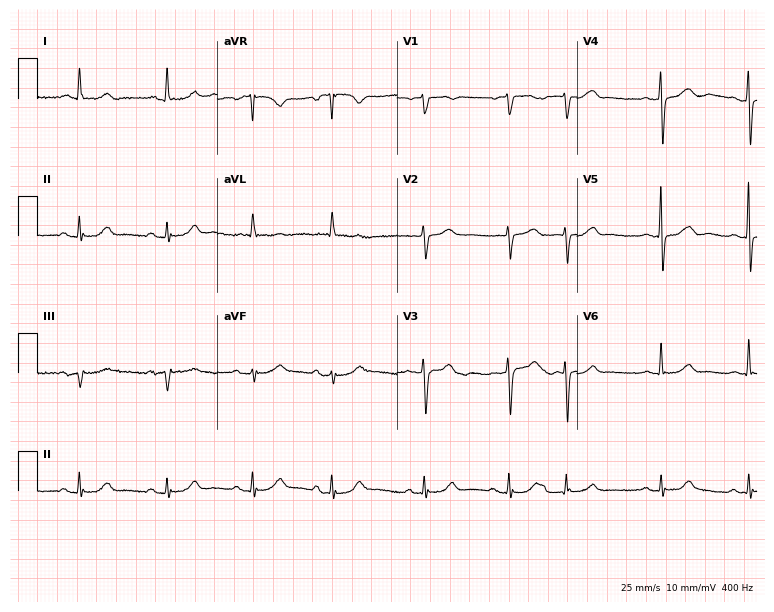
Resting 12-lead electrocardiogram (7.3-second recording at 400 Hz). Patient: a female, 85 years old. None of these six findings is recorded: first-degree AV block, right bundle branch block, left bundle branch block, sinus bradycardia, atrial fibrillation, sinus tachycardia.